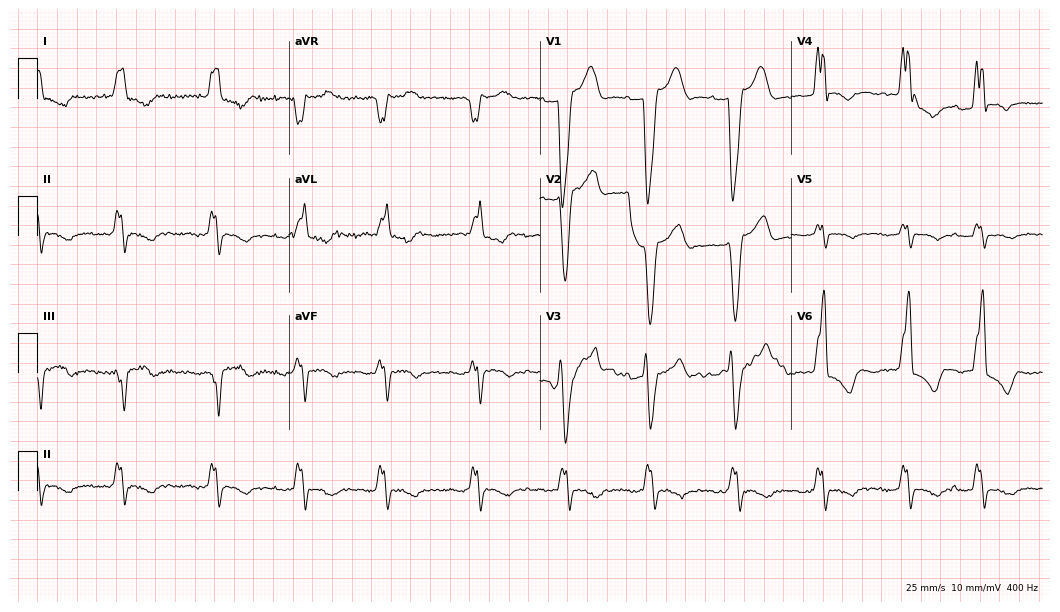
Electrocardiogram, a male patient, 72 years old. Interpretation includes left bundle branch block.